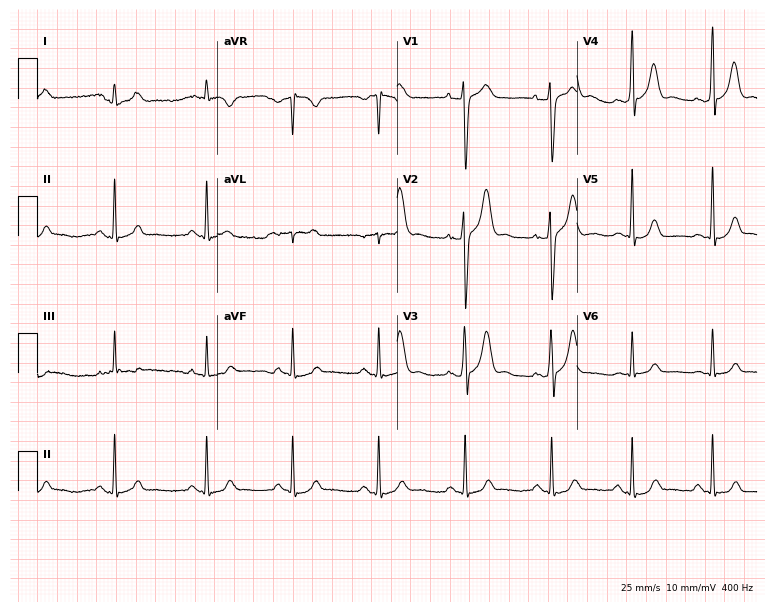
12-lead ECG from a male, 24 years old. Labelled as a normal ECG.